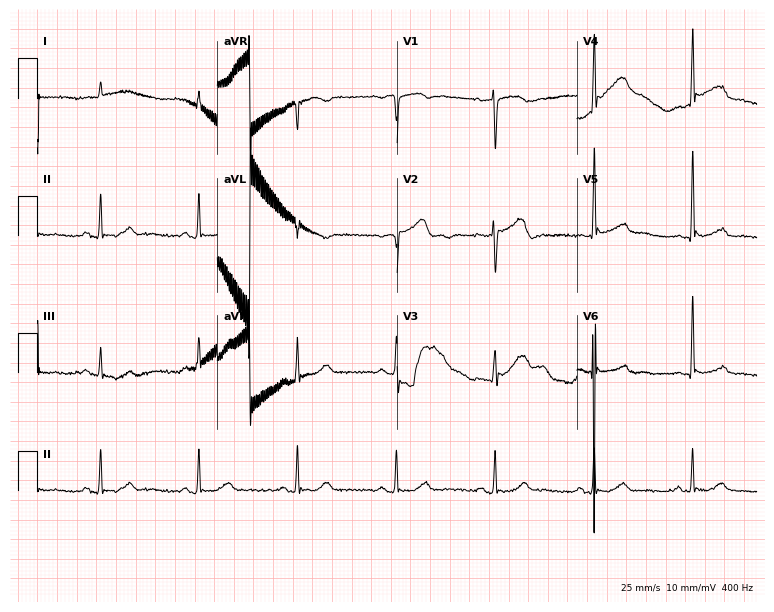
ECG — a male, 79 years old. Screened for six findings — first-degree AV block, right bundle branch block, left bundle branch block, sinus bradycardia, atrial fibrillation, sinus tachycardia — none is recorded.